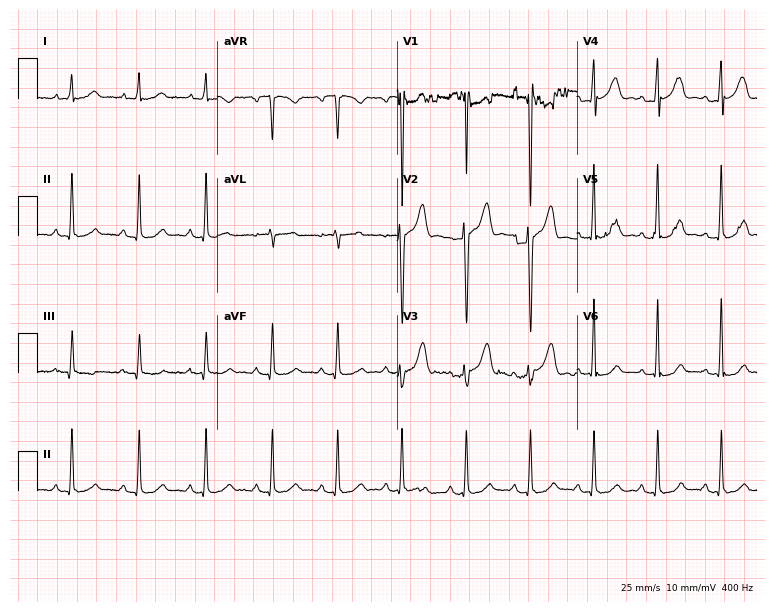
12-lead ECG from a 31-year-old male. Labelled as a normal ECG.